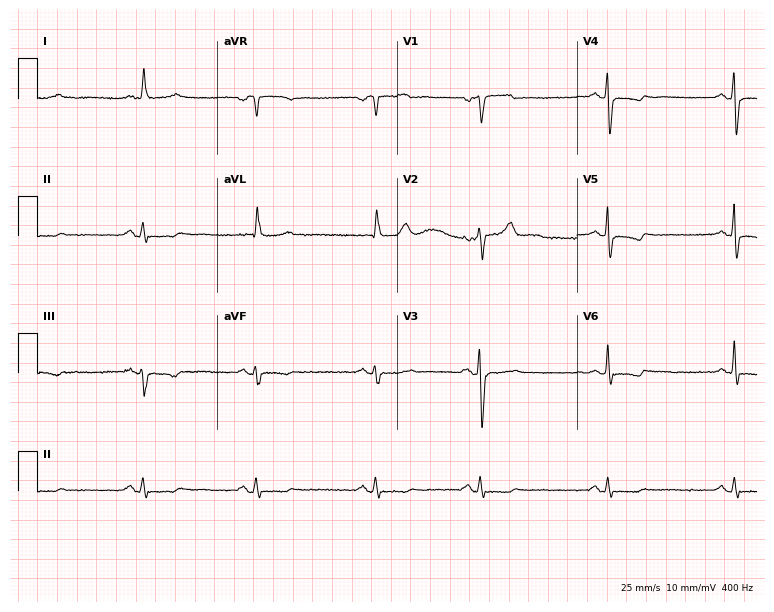
12-lead ECG from a female, 82 years old. No first-degree AV block, right bundle branch block, left bundle branch block, sinus bradycardia, atrial fibrillation or sinus tachycardia recorded for this tracing. Findings outside these six are not listed.